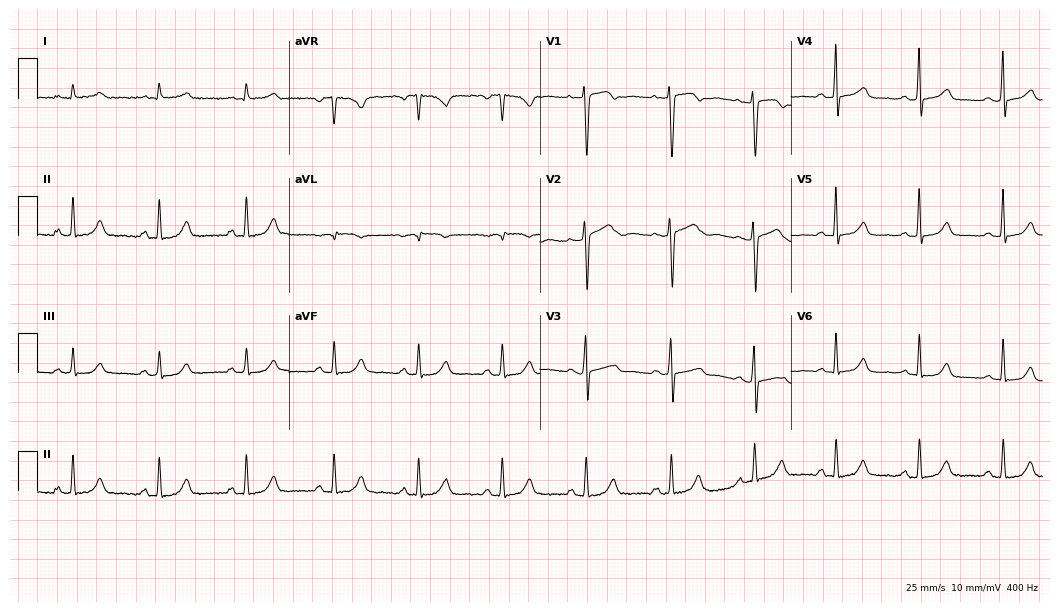
12-lead ECG (10.2-second recording at 400 Hz) from a woman, 54 years old. Labelled as a normal ECG.